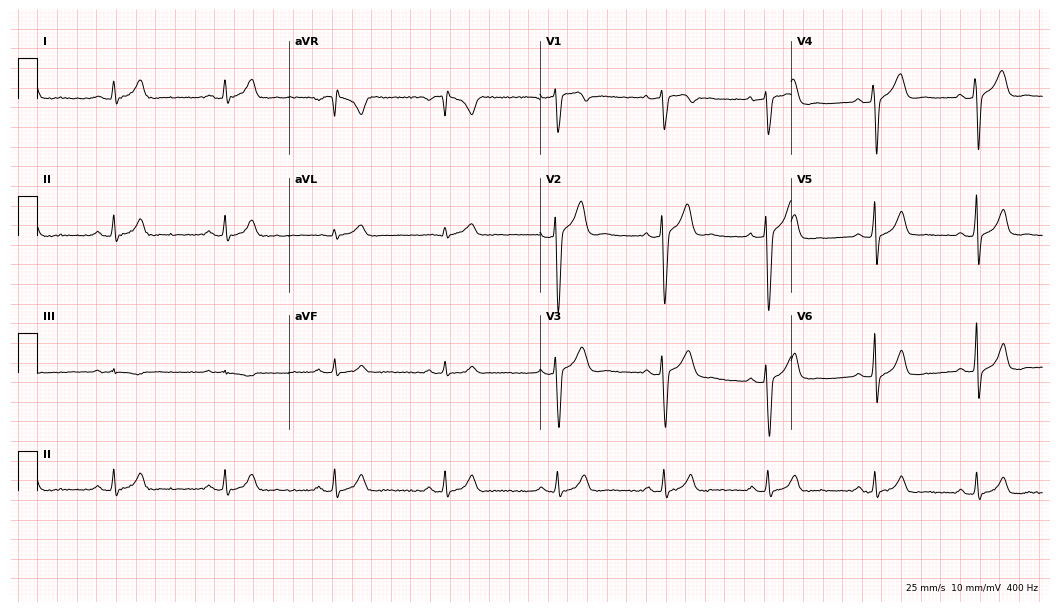
Standard 12-lead ECG recorded from a 32-year-old male patient (10.2-second recording at 400 Hz). None of these six findings is recorded: first-degree AV block, right bundle branch block (RBBB), left bundle branch block (LBBB), sinus bradycardia, atrial fibrillation (AF), sinus tachycardia.